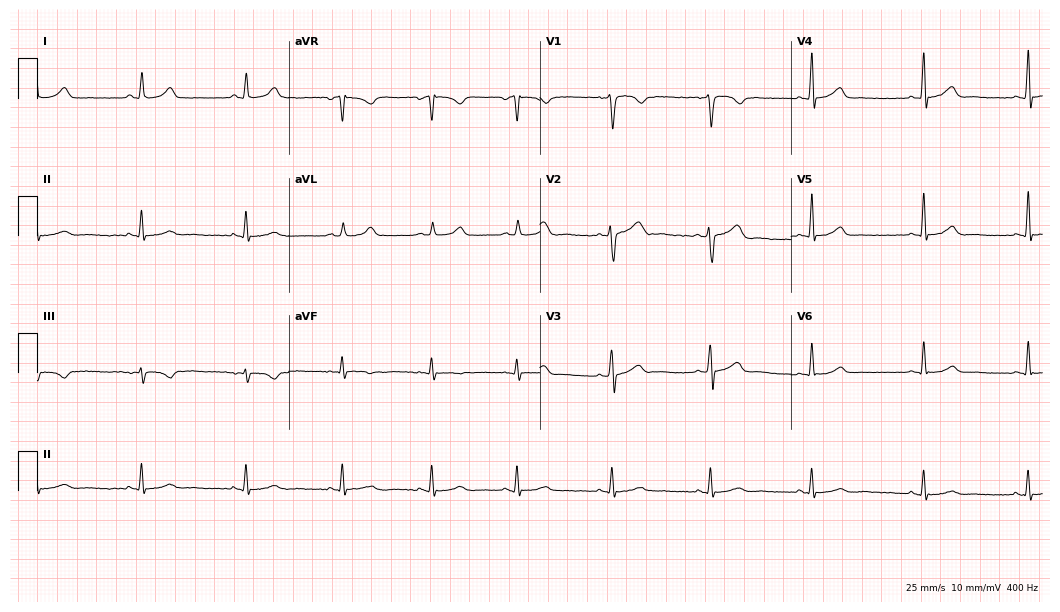
Resting 12-lead electrocardiogram. Patient: a 42-year-old female. Read as a normal ECG.